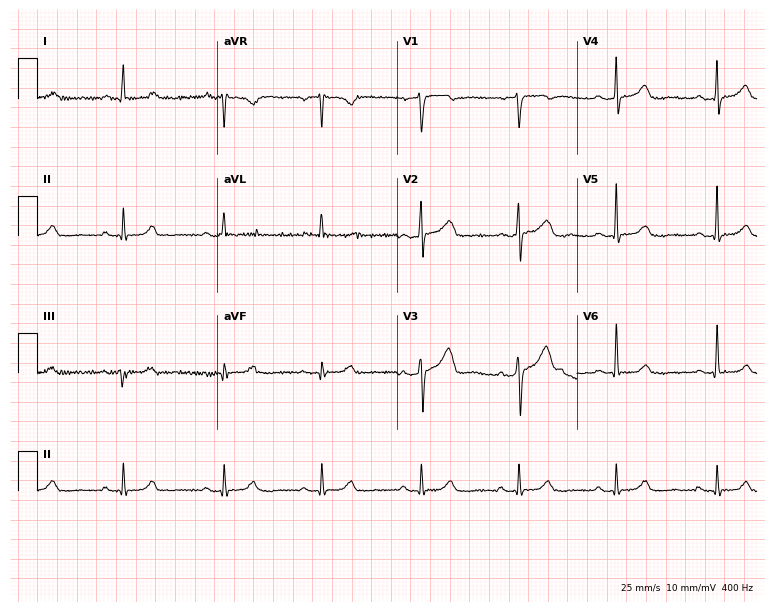
Resting 12-lead electrocardiogram. Patient: a woman, 62 years old. None of these six findings is recorded: first-degree AV block, right bundle branch block, left bundle branch block, sinus bradycardia, atrial fibrillation, sinus tachycardia. Other findings, if any, are not listed.